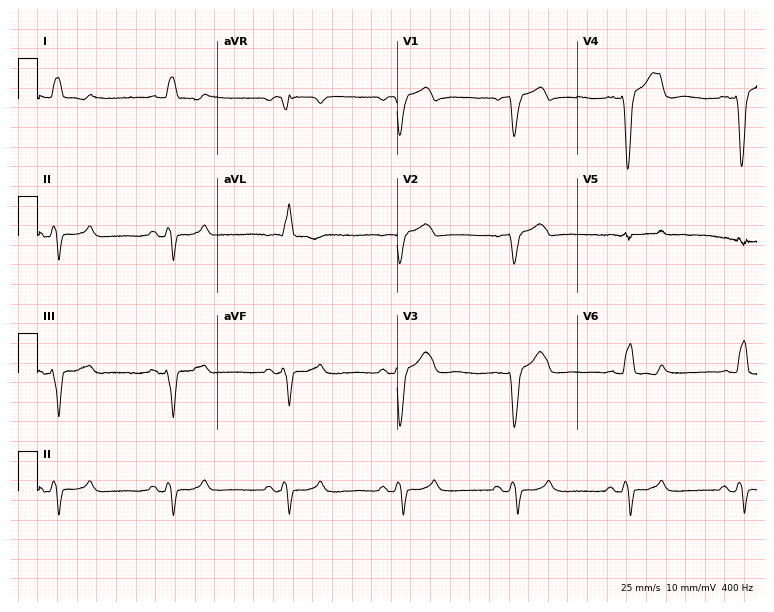
Electrocardiogram, a man, 66 years old. Interpretation includes left bundle branch block.